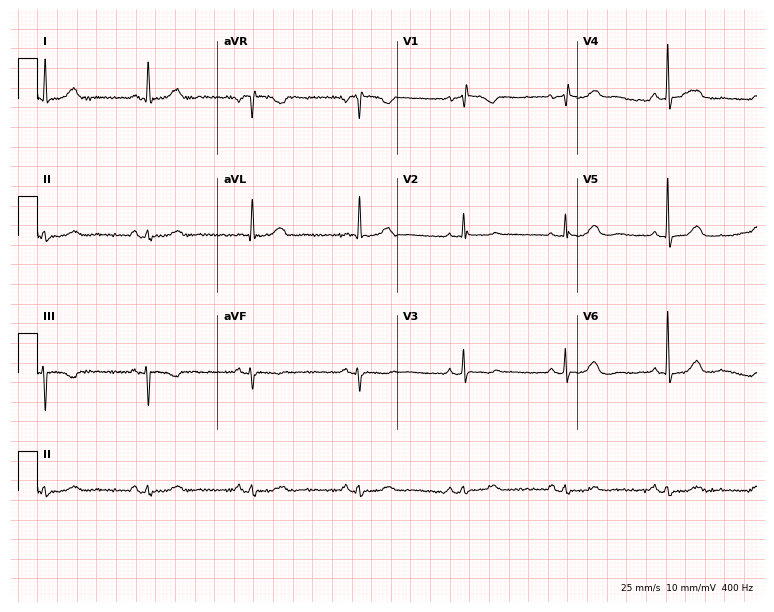
12-lead ECG from a female, 79 years old. Screened for six findings — first-degree AV block, right bundle branch block, left bundle branch block, sinus bradycardia, atrial fibrillation, sinus tachycardia — none is recorded. Other findings, if any, are not listed.